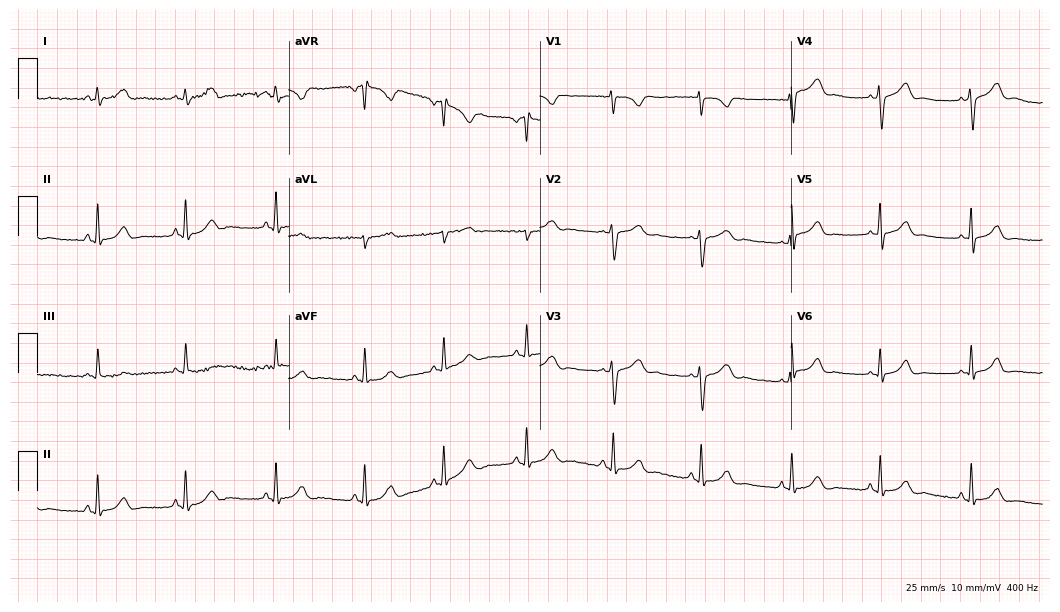
12-lead ECG from a female, 17 years old (10.2-second recording at 400 Hz). Recorded interpretation: within normal limits.